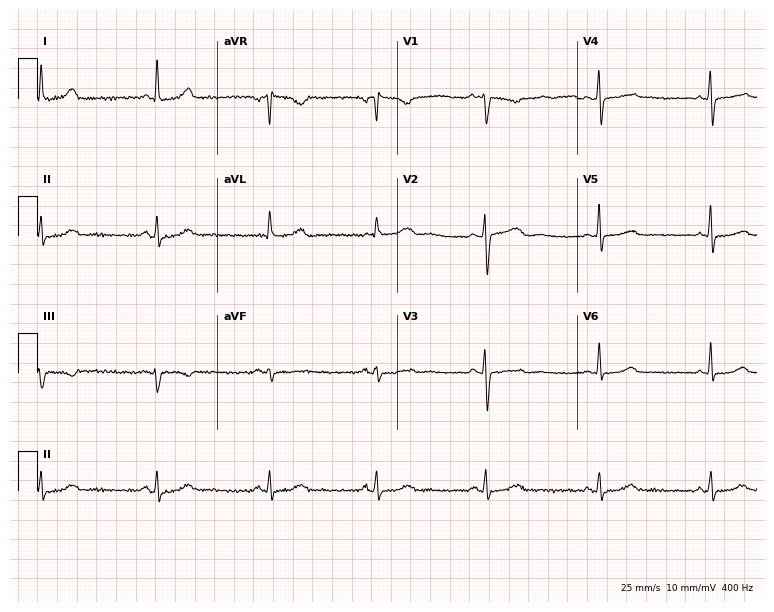
Electrocardiogram, a female, 42 years old. Overall reading on record: normal ECG.